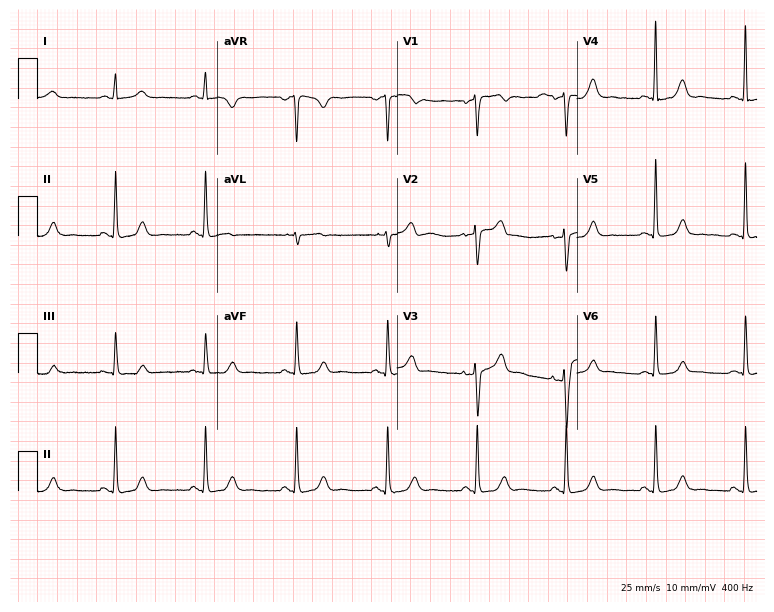
12-lead ECG from a woman, 58 years old (7.3-second recording at 400 Hz). No first-degree AV block, right bundle branch block, left bundle branch block, sinus bradycardia, atrial fibrillation or sinus tachycardia recorded for this tracing. Only these six findings were labelled.